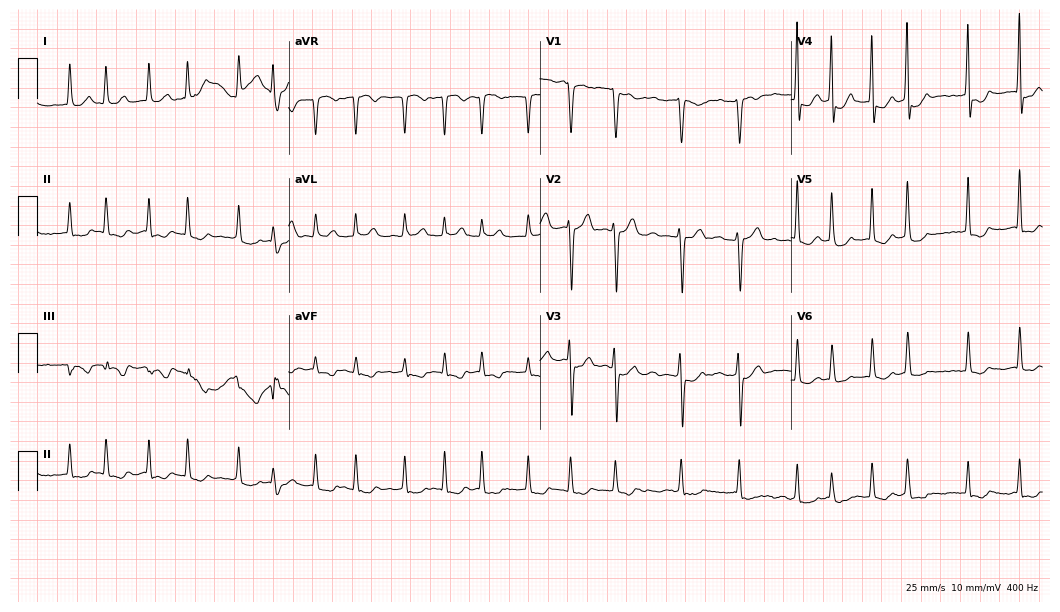
12-lead ECG from a 72-year-old male. Shows atrial fibrillation.